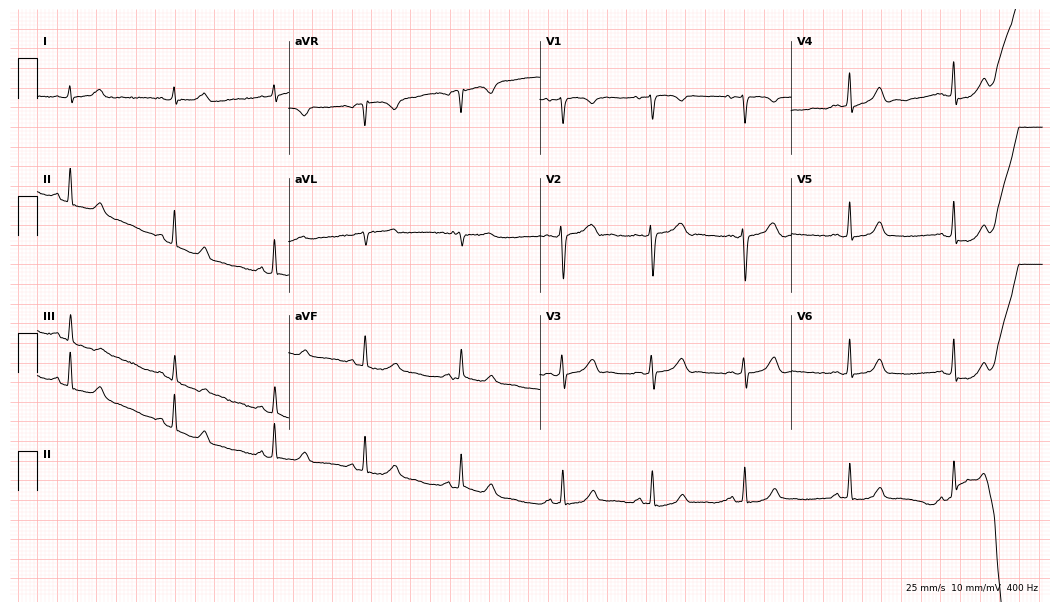
Electrocardiogram (10.2-second recording at 400 Hz), a female patient, 30 years old. Overall reading on record: normal ECG.